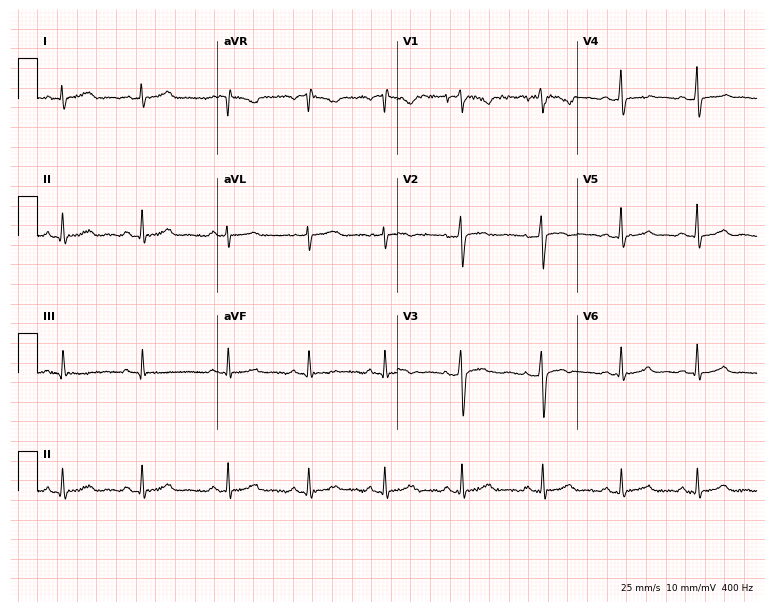
12-lead ECG from a female patient, 40 years old. Labelled as a normal ECG.